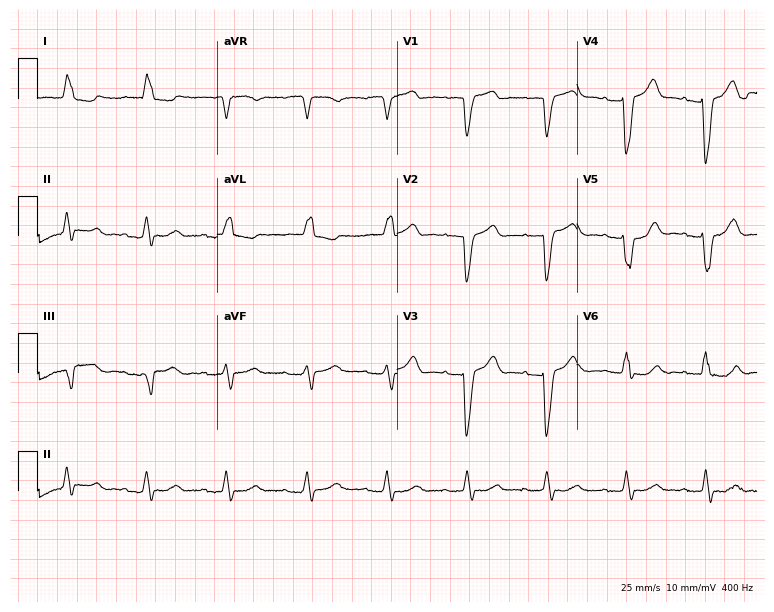
12-lead ECG from an 84-year-old man. Findings include first-degree AV block, left bundle branch block.